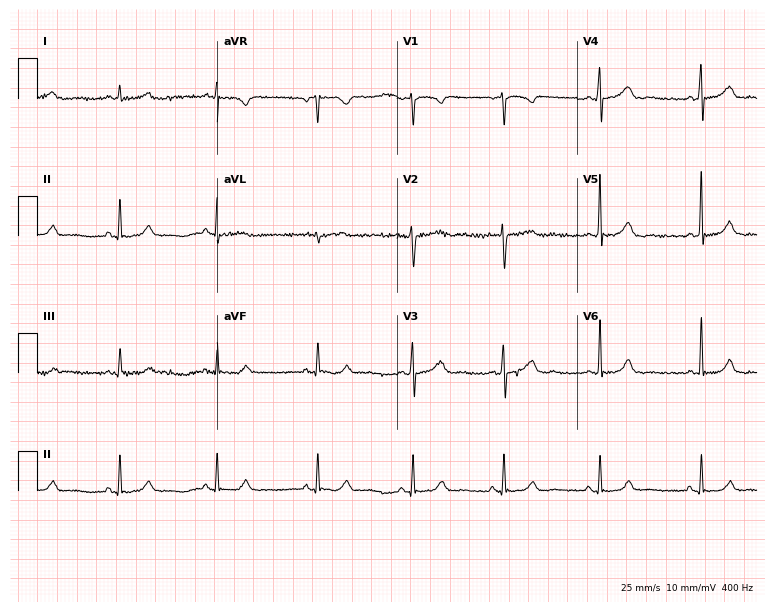
12-lead ECG from a woman, 42 years old. No first-degree AV block, right bundle branch block, left bundle branch block, sinus bradycardia, atrial fibrillation or sinus tachycardia recorded for this tracing.